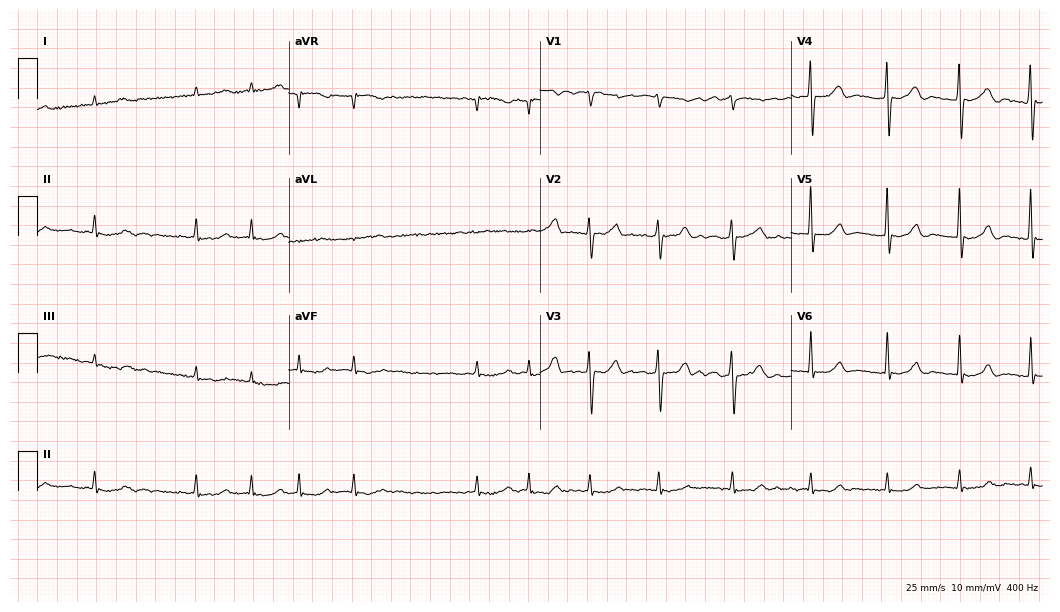
12-lead ECG from a male patient, 76 years old. Shows atrial fibrillation.